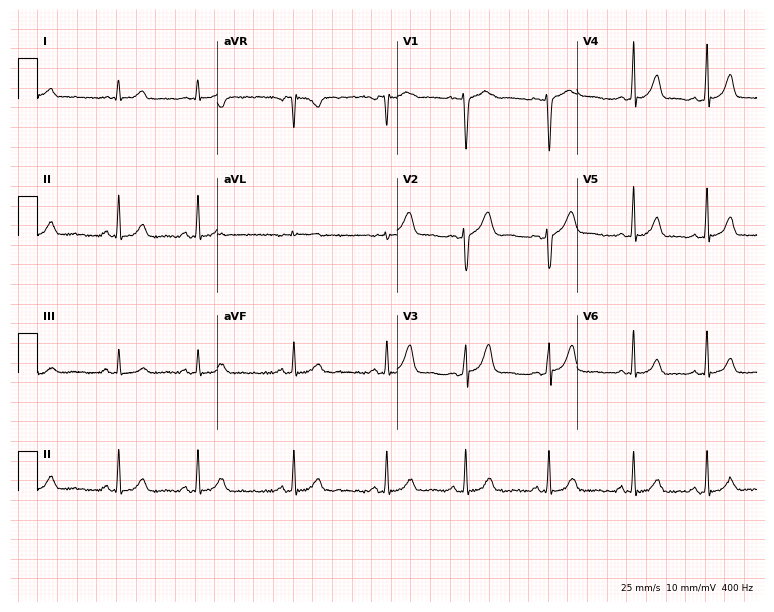
12-lead ECG from a woman, 24 years old. Recorded interpretation: within normal limits.